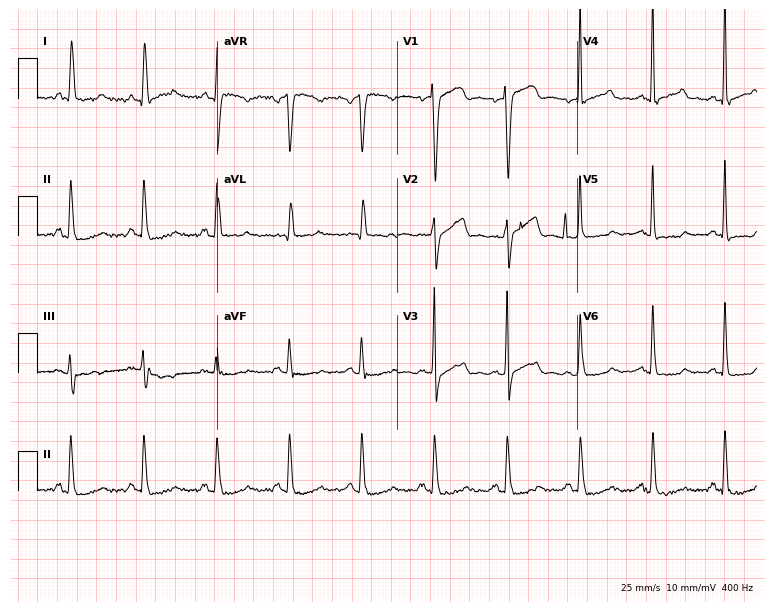
Electrocardiogram (7.3-second recording at 400 Hz), a woman, 78 years old. Of the six screened findings (first-degree AV block, right bundle branch block, left bundle branch block, sinus bradycardia, atrial fibrillation, sinus tachycardia), none is recorded. Findings outside these six are not listed.